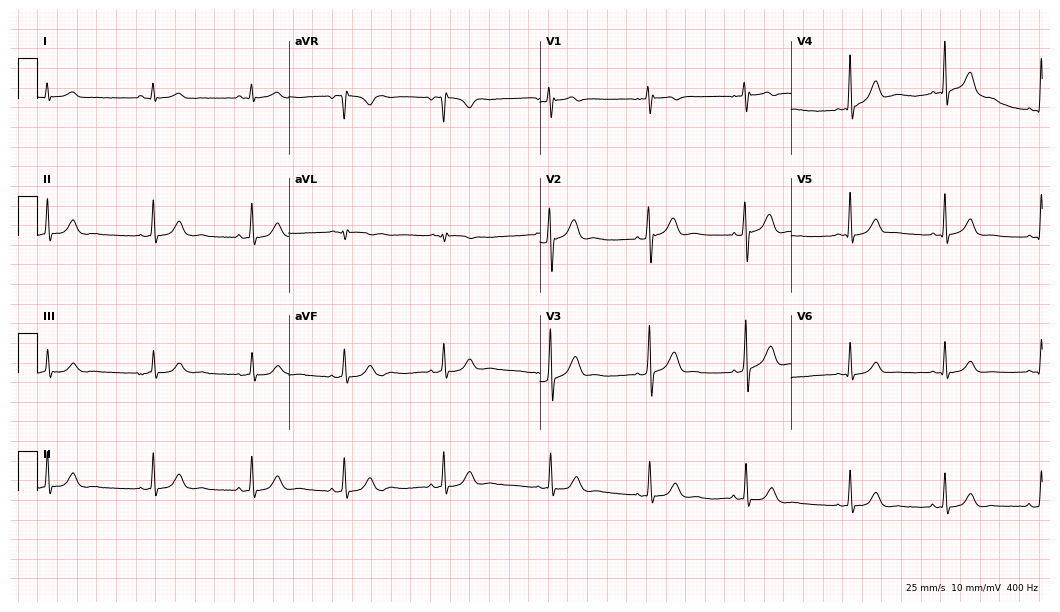
Electrocardiogram (10.2-second recording at 400 Hz), a male patient, 21 years old. Of the six screened findings (first-degree AV block, right bundle branch block, left bundle branch block, sinus bradycardia, atrial fibrillation, sinus tachycardia), none is recorded.